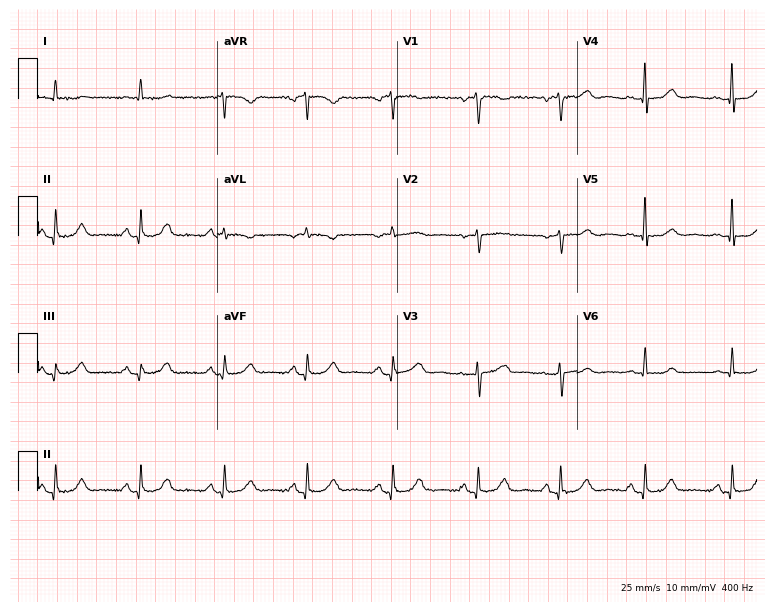
Electrocardiogram, a female, 68 years old. Overall reading on record: normal ECG.